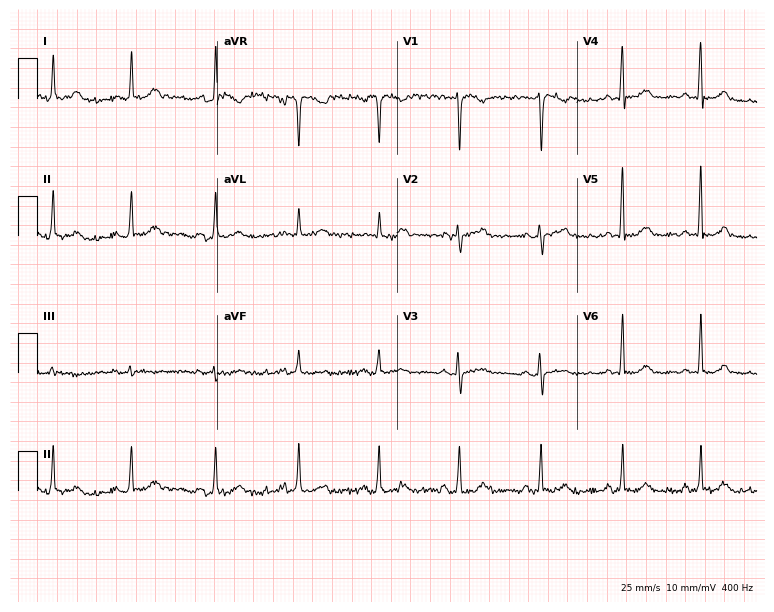
12-lead ECG from a 61-year-old female patient. Recorded interpretation: within normal limits.